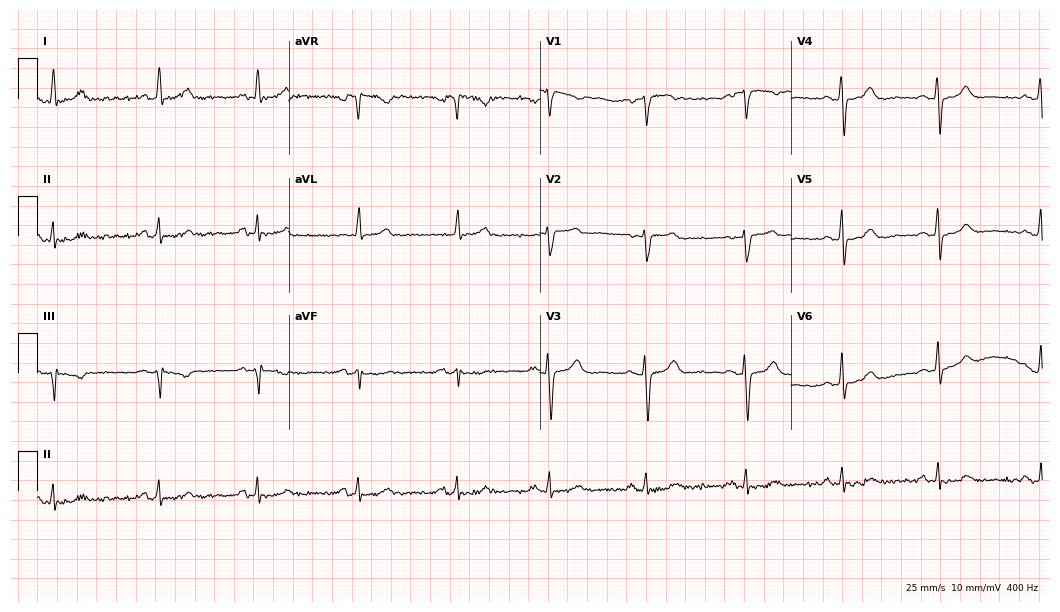
ECG — a woman, 55 years old. Screened for six findings — first-degree AV block, right bundle branch block, left bundle branch block, sinus bradycardia, atrial fibrillation, sinus tachycardia — none is recorded. Other findings, if any, are not listed.